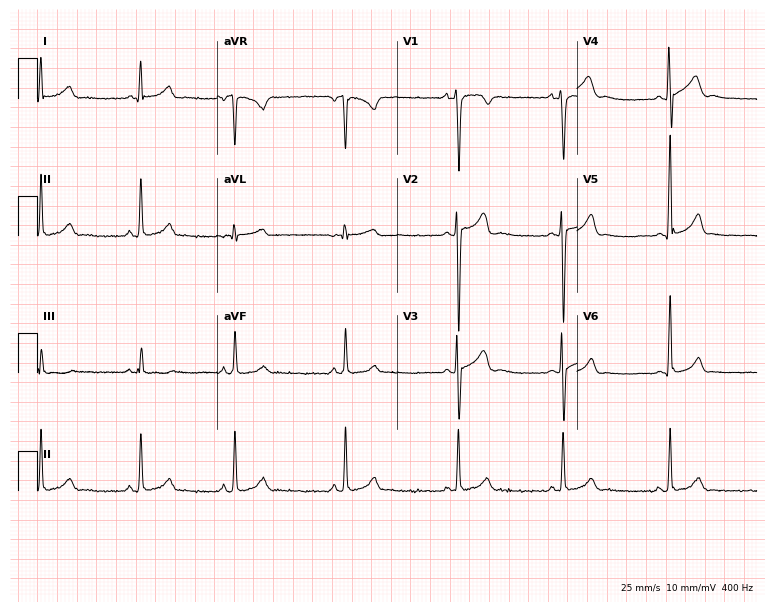
ECG (7.3-second recording at 400 Hz) — a 21-year-old male patient. Labelled as a normal ECG.